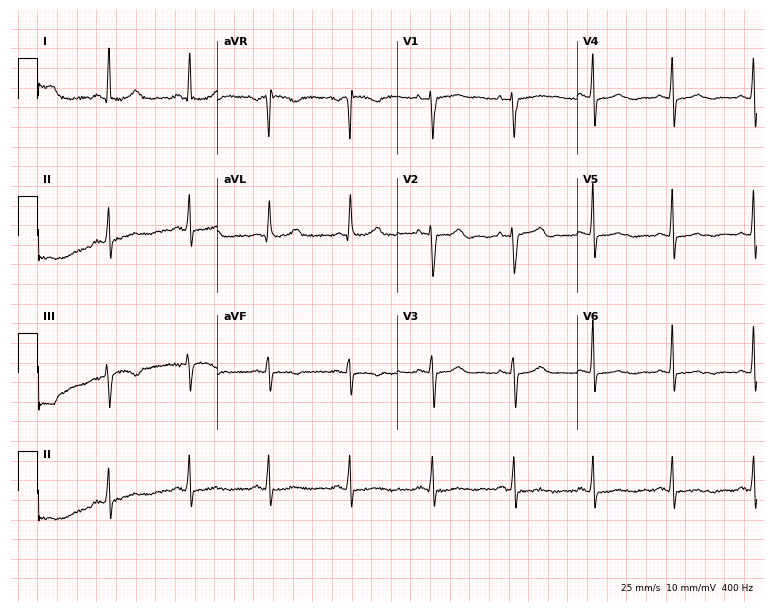
Standard 12-lead ECG recorded from a 72-year-old woman. None of these six findings is recorded: first-degree AV block, right bundle branch block, left bundle branch block, sinus bradycardia, atrial fibrillation, sinus tachycardia. Only these six findings were labelled.